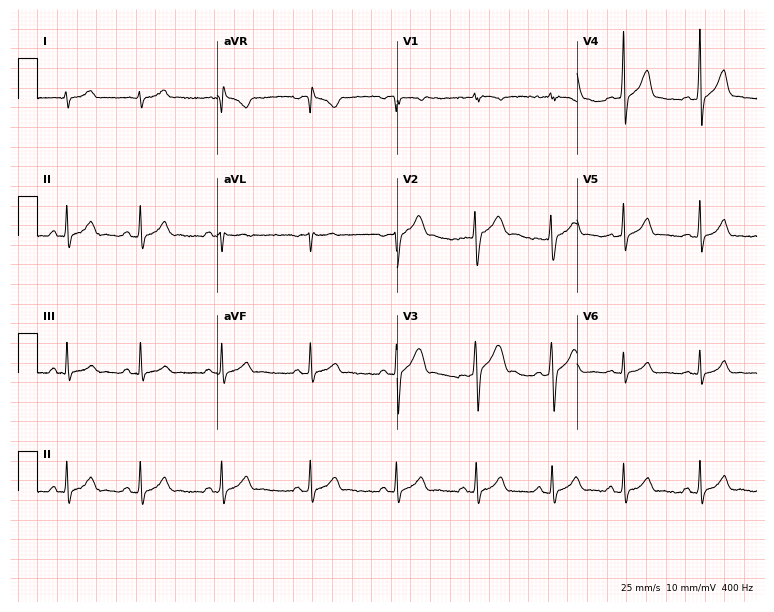
Electrocardiogram (7.3-second recording at 400 Hz), a 24-year-old male. Of the six screened findings (first-degree AV block, right bundle branch block (RBBB), left bundle branch block (LBBB), sinus bradycardia, atrial fibrillation (AF), sinus tachycardia), none is recorded. Findings outside these six are not listed.